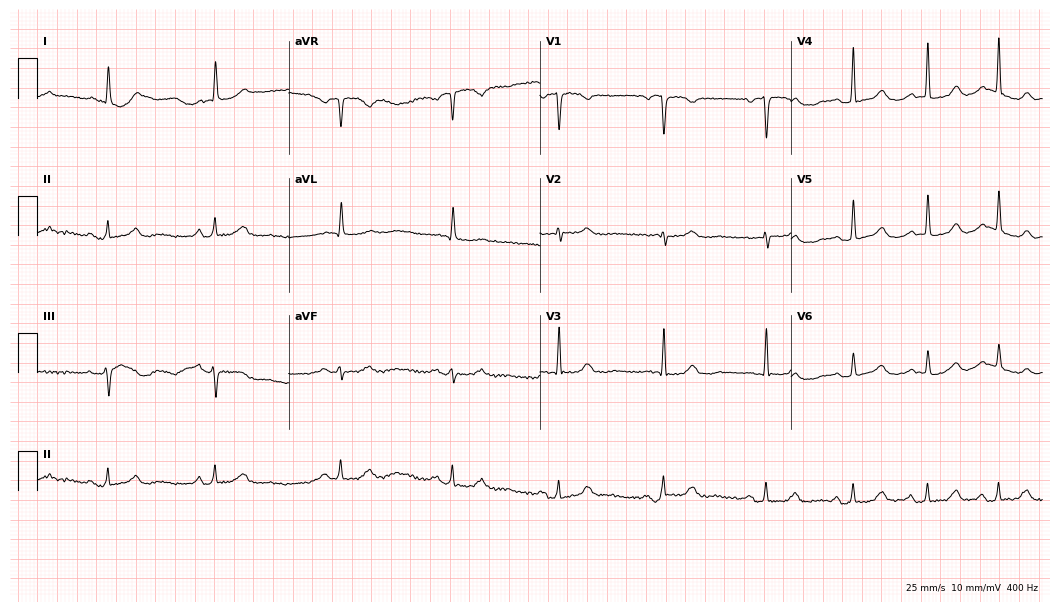
ECG — a woman, 84 years old. Labelled as a normal ECG.